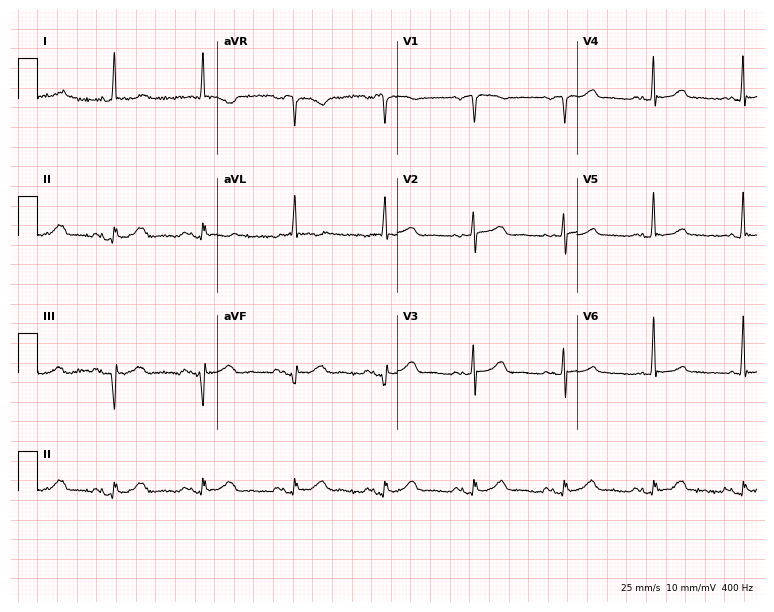
Resting 12-lead electrocardiogram (7.3-second recording at 400 Hz). Patient: a woman, 85 years old. None of these six findings is recorded: first-degree AV block, right bundle branch block, left bundle branch block, sinus bradycardia, atrial fibrillation, sinus tachycardia. Findings outside these six are not listed.